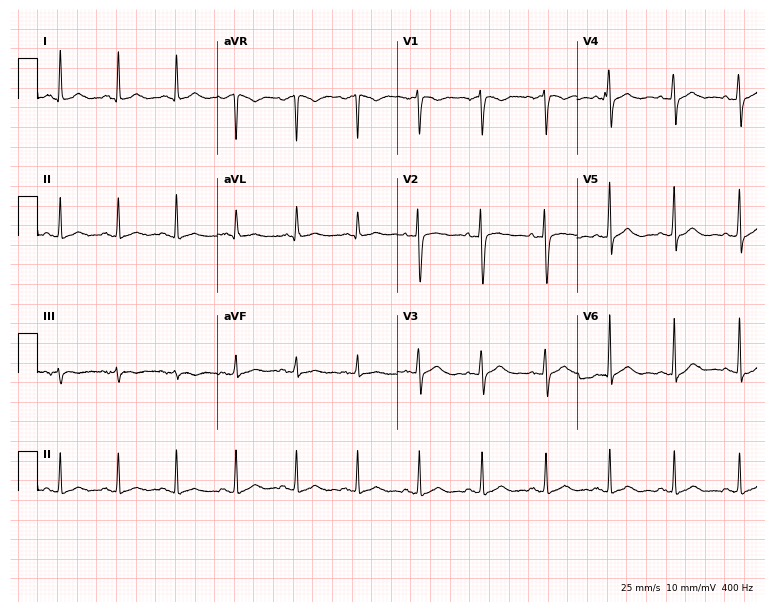
Standard 12-lead ECG recorded from a woman, 56 years old (7.3-second recording at 400 Hz). Read as a normal ECG.